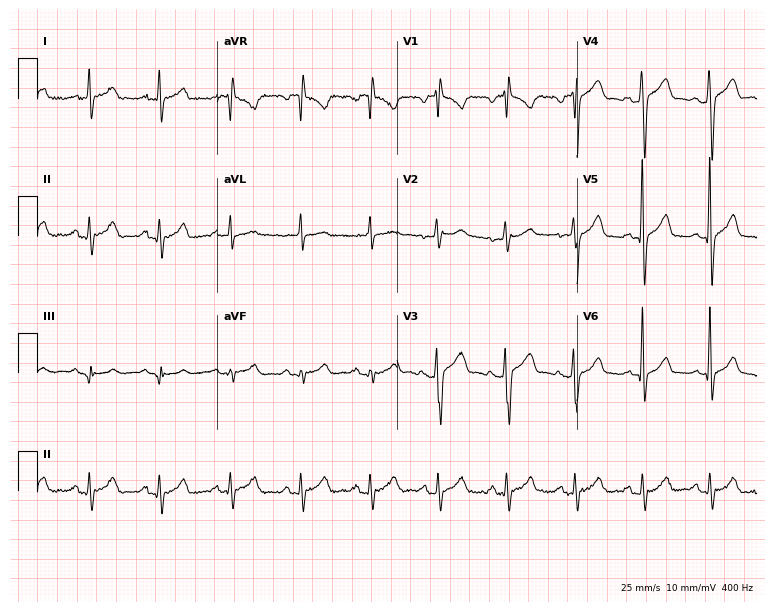
Resting 12-lead electrocardiogram (7.3-second recording at 400 Hz). Patient: a male, 42 years old. None of these six findings is recorded: first-degree AV block, right bundle branch block, left bundle branch block, sinus bradycardia, atrial fibrillation, sinus tachycardia.